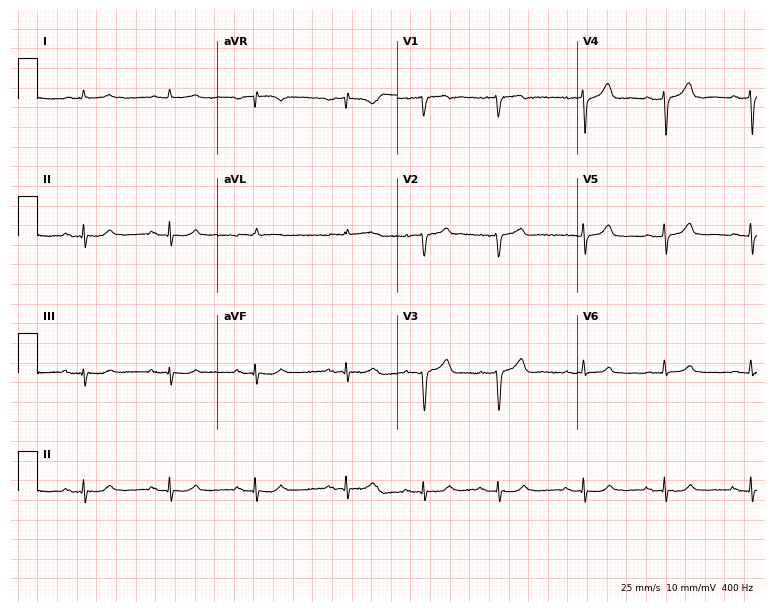
Resting 12-lead electrocardiogram (7.3-second recording at 400 Hz). Patient: a man, 77 years old. None of these six findings is recorded: first-degree AV block, right bundle branch block (RBBB), left bundle branch block (LBBB), sinus bradycardia, atrial fibrillation (AF), sinus tachycardia. Only these six findings were labelled.